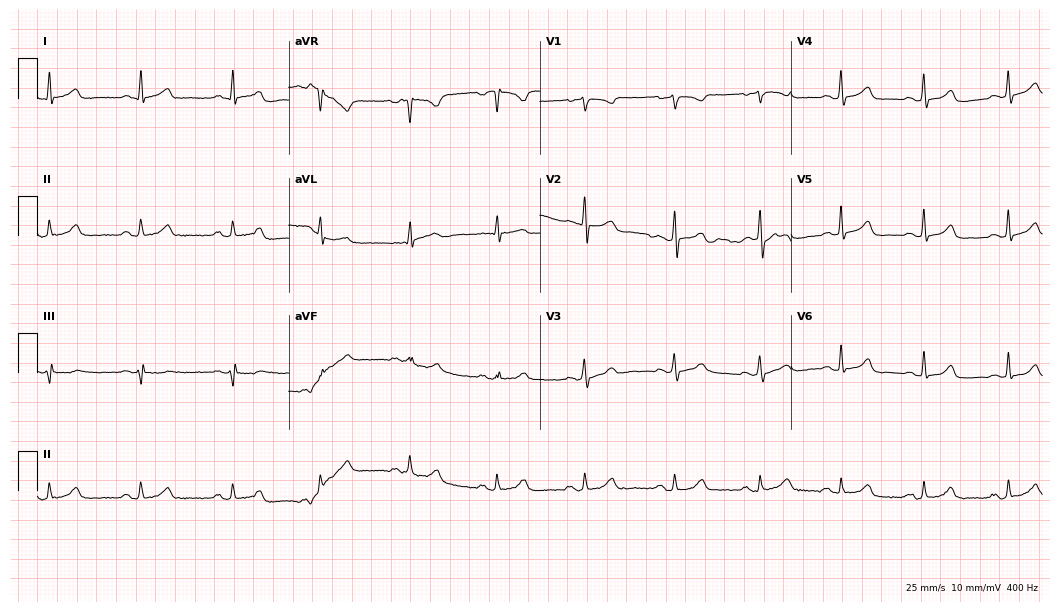
Resting 12-lead electrocardiogram (10.2-second recording at 400 Hz). Patient: a 41-year-old female. Read as a normal ECG.